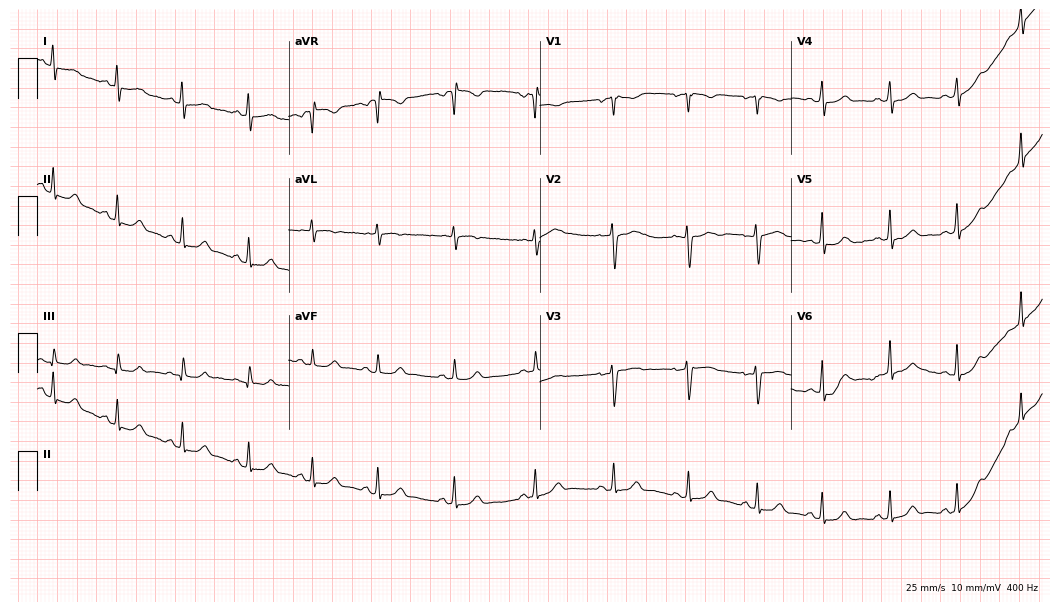
Standard 12-lead ECG recorded from a 31-year-old female. Read as a normal ECG.